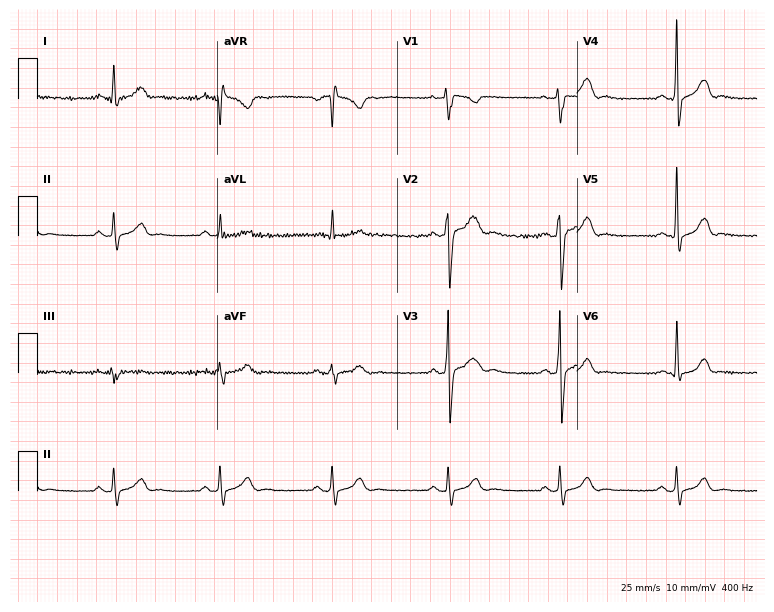
12-lead ECG from a 38-year-old man. Labelled as a normal ECG.